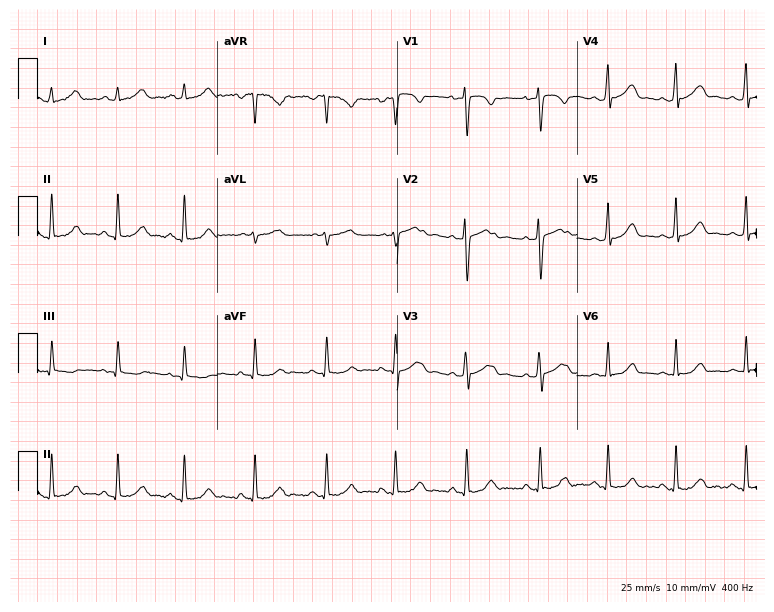
Standard 12-lead ECG recorded from a woman, 23 years old (7.3-second recording at 400 Hz). None of these six findings is recorded: first-degree AV block, right bundle branch block (RBBB), left bundle branch block (LBBB), sinus bradycardia, atrial fibrillation (AF), sinus tachycardia.